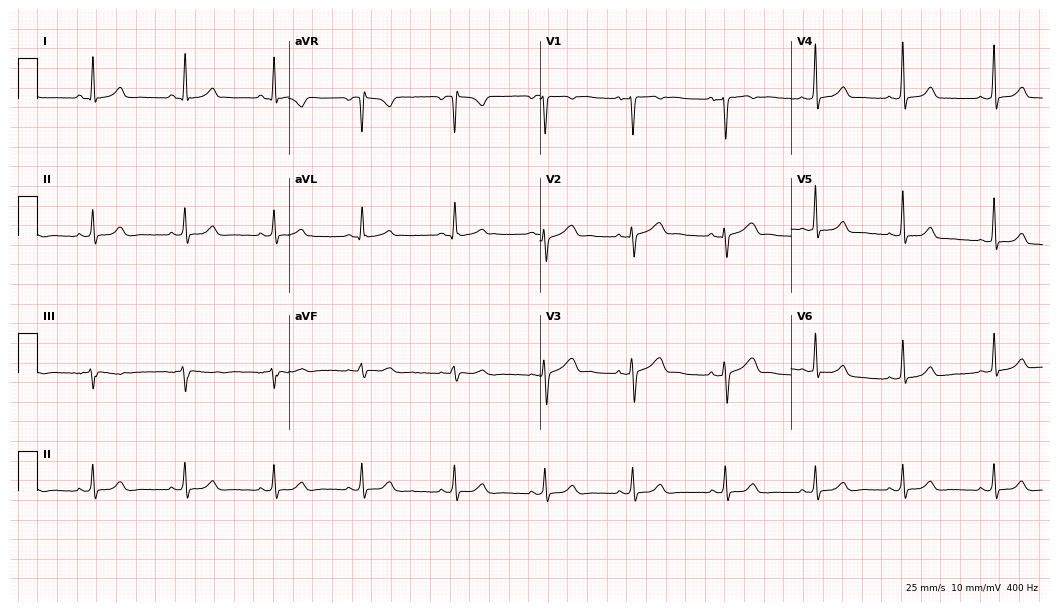
12-lead ECG from a 31-year-old female. Labelled as a normal ECG.